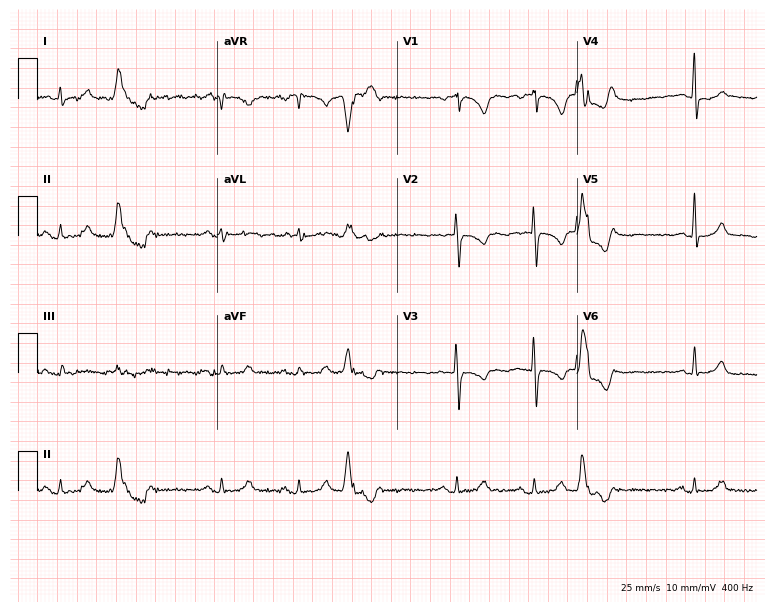
12-lead ECG (7.3-second recording at 400 Hz) from a woman, 68 years old. Screened for six findings — first-degree AV block, right bundle branch block, left bundle branch block, sinus bradycardia, atrial fibrillation, sinus tachycardia — none is recorded.